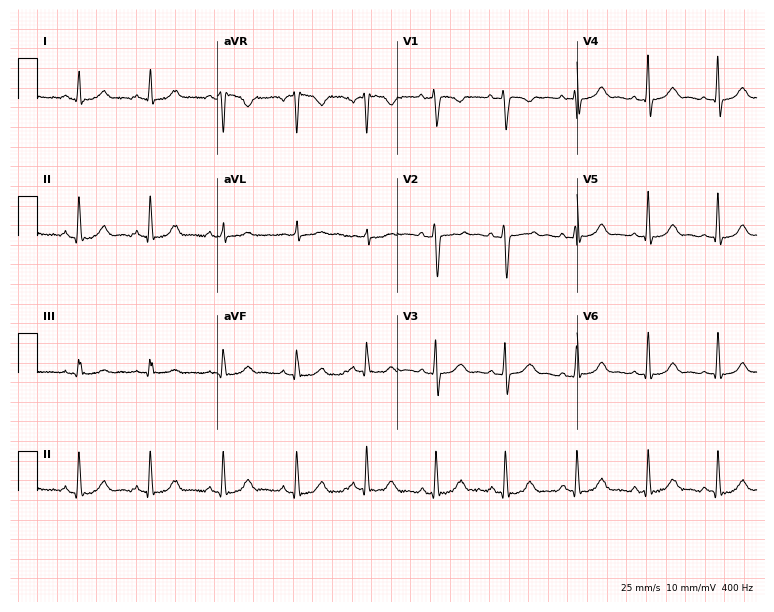
Electrocardiogram, a 29-year-old female patient. Of the six screened findings (first-degree AV block, right bundle branch block, left bundle branch block, sinus bradycardia, atrial fibrillation, sinus tachycardia), none is recorded. Findings outside these six are not listed.